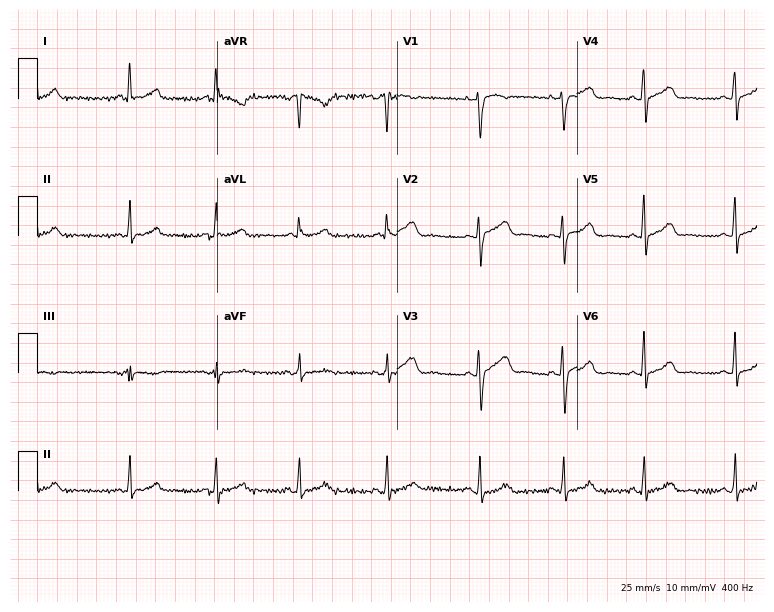
Resting 12-lead electrocardiogram. Patient: a female, 29 years old. Read as a normal ECG.